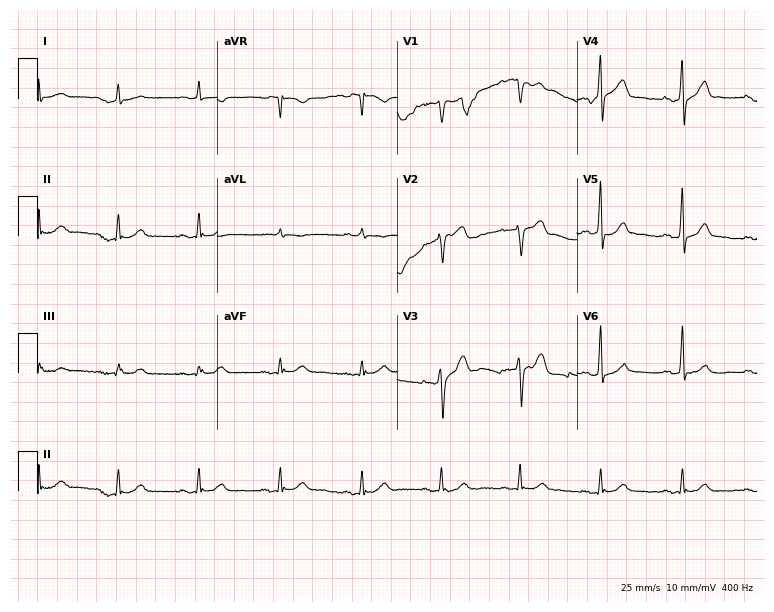
Standard 12-lead ECG recorded from a male, 71 years old (7.3-second recording at 400 Hz). Read as a normal ECG.